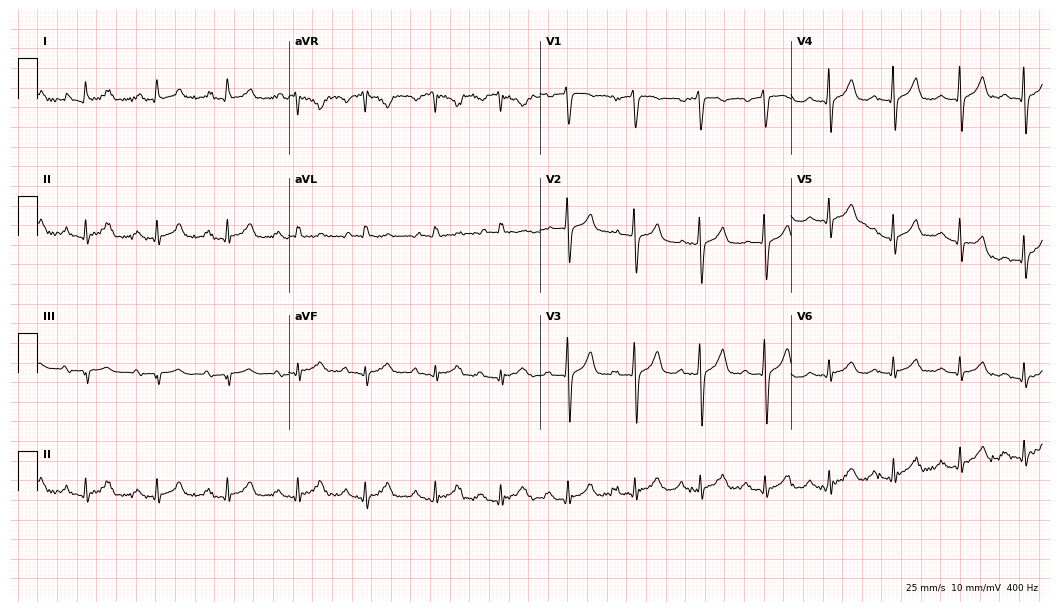
12-lead ECG from a 73-year-old male patient. Recorded interpretation: within normal limits.